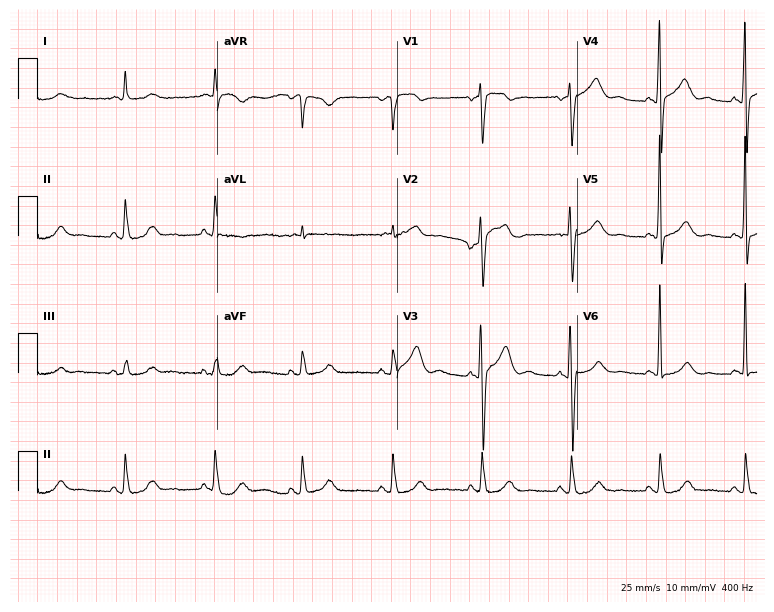
ECG — an 82-year-old male patient. Labelled as a normal ECG.